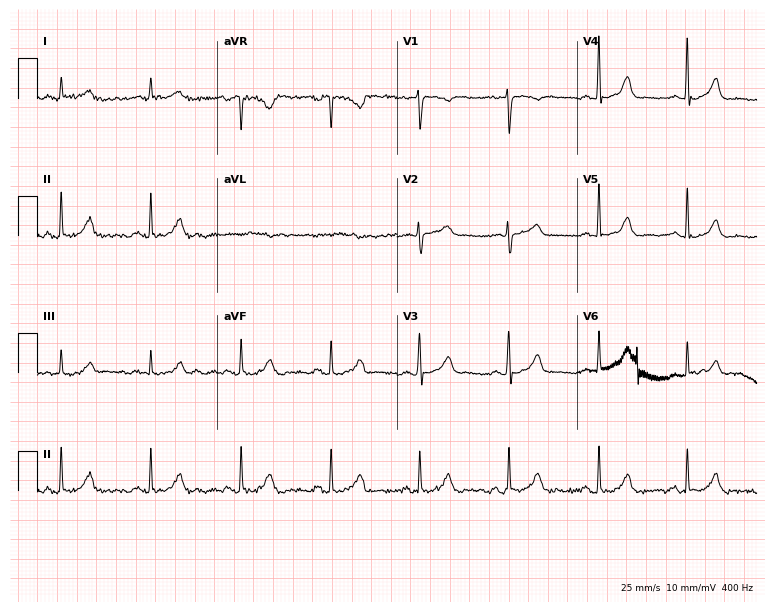
Standard 12-lead ECG recorded from a 58-year-old female patient (7.3-second recording at 400 Hz). None of these six findings is recorded: first-degree AV block, right bundle branch block (RBBB), left bundle branch block (LBBB), sinus bradycardia, atrial fibrillation (AF), sinus tachycardia.